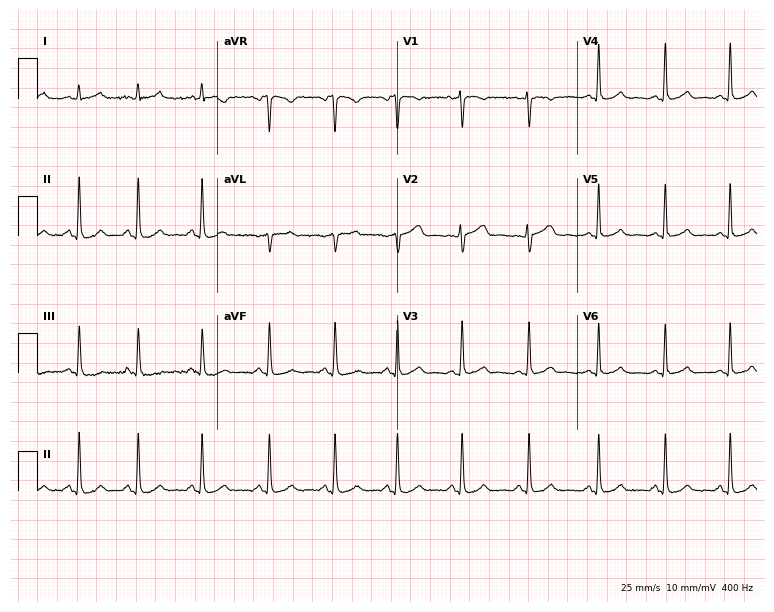
Electrocardiogram (7.3-second recording at 400 Hz), a woman, 27 years old. Of the six screened findings (first-degree AV block, right bundle branch block, left bundle branch block, sinus bradycardia, atrial fibrillation, sinus tachycardia), none is recorded. Other findings, if any, are not listed.